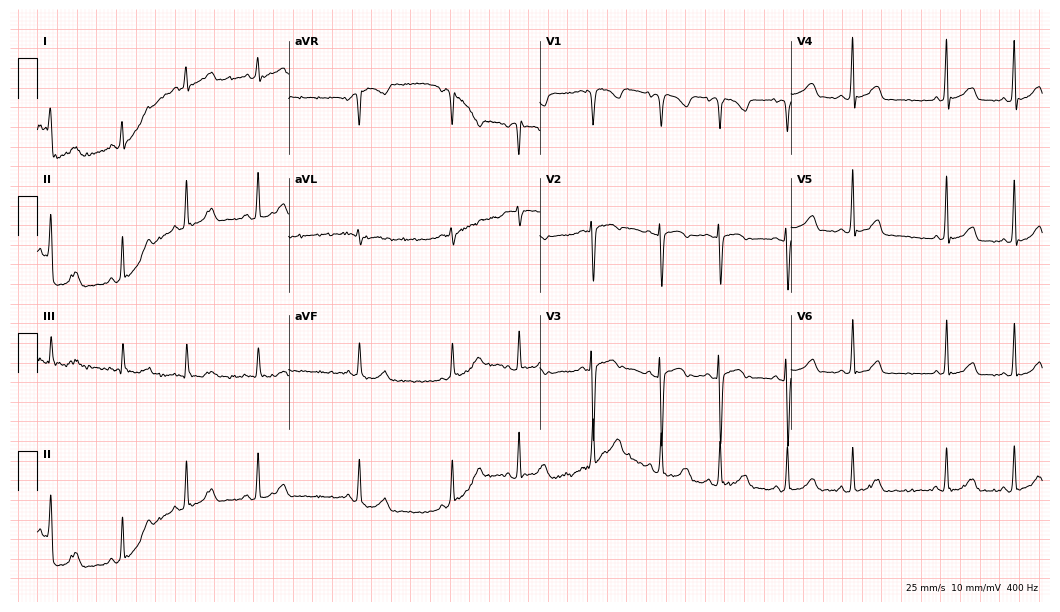
Electrocardiogram (10.2-second recording at 400 Hz), a 73-year-old man. Overall reading on record: normal ECG.